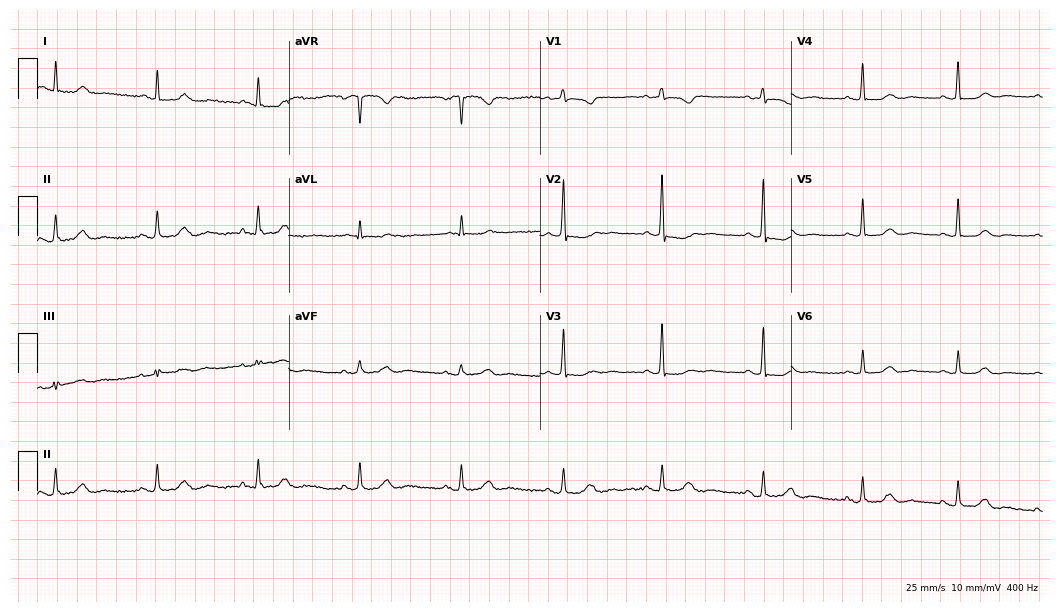
Electrocardiogram, a 65-year-old female patient. Of the six screened findings (first-degree AV block, right bundle branch block, left bundle branch block, sinus bradycardia, atrial fibrillation, sinus tachycardia), none is recorded.